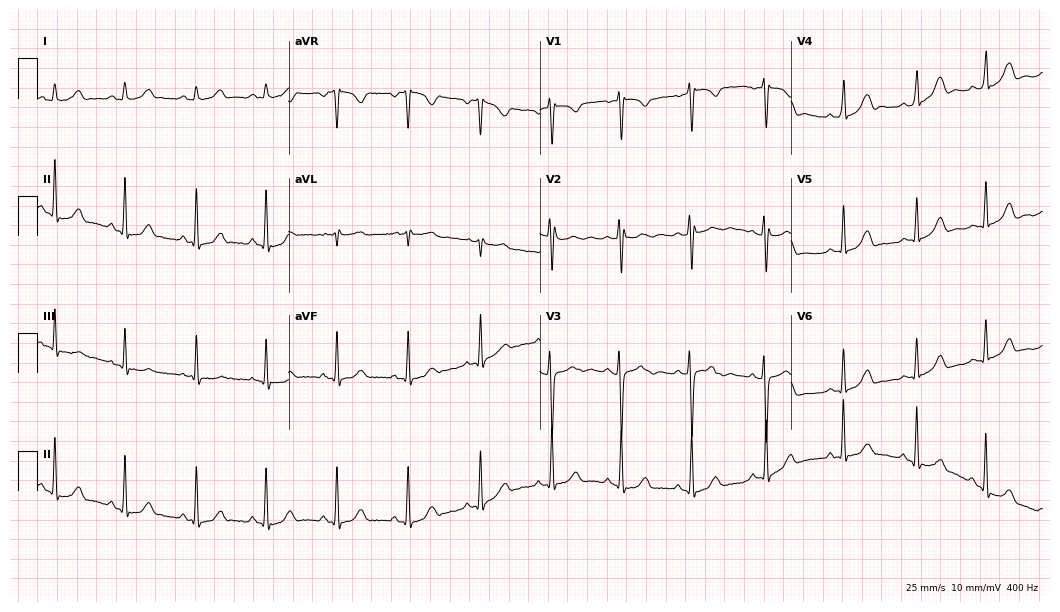
ECG — a 19-year-old female patient. Labelled as a normal ECG.